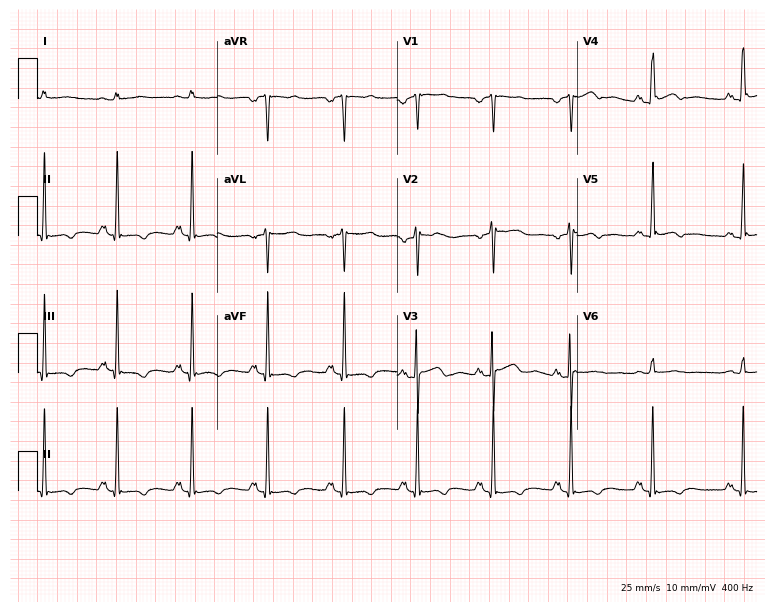
12-lead ECG from a female patient, 51 years old. Screened for six findings — first-degree AV block, right bundle branch block, left bundle branch block, sinus bradycardia, atrial fibrillation, sinus tachycardia — none is recorded.